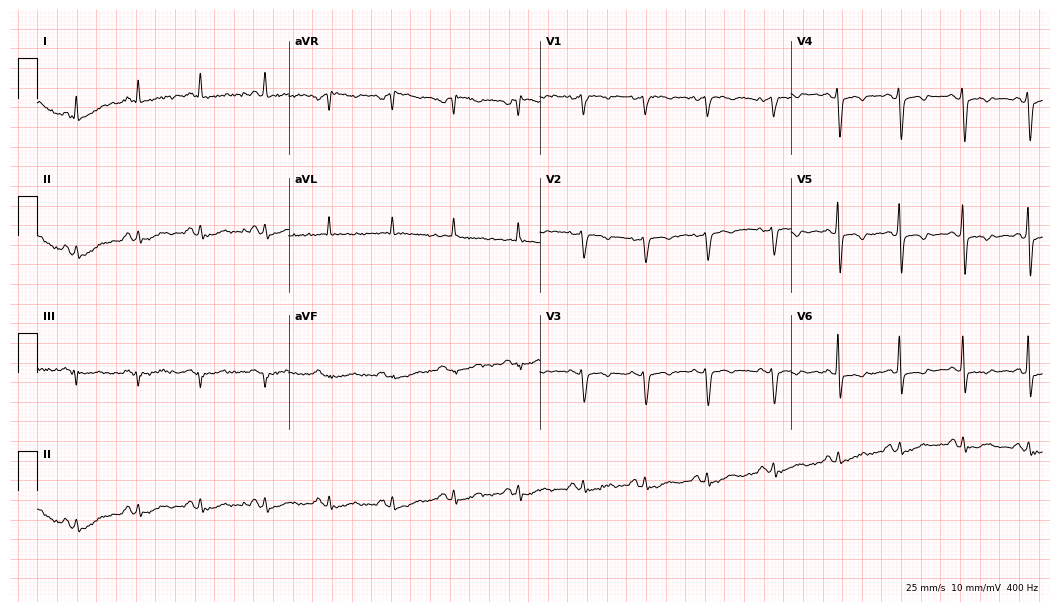
12-lead ECG from an 81-year-old female. No first-degree AV block, right bundle branch block, left bundle branch block, sinus bradycardia, atrial fibrillation or sinus tachycardia recorded for this tracing. Only these six findings were labelled.